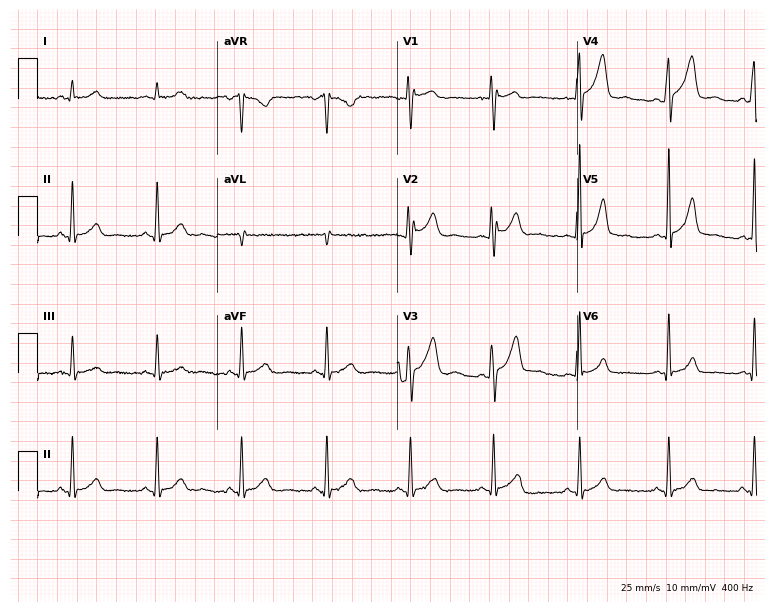
12-lead ECG from a 38-year-old male patient. No first-degree AV block, right bundle branch block, left bundle branch block, sinus bradycardia, atrial fibrillation or sinus tachycardia recorded for this tracing. Other findings, if any, are not listed.